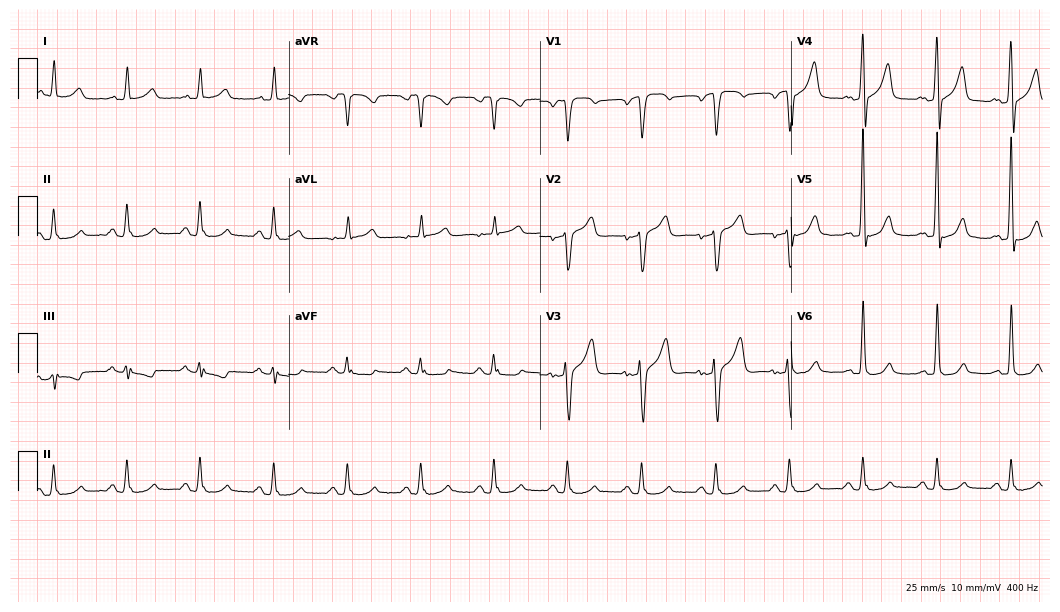
12-lead ECG from a 73-year-old male (10.2-second recording at 400 Hz). No first-degree AV block, right bundle branch block (RBBB), left bundle branch block (LBBB), sinus bradycardia, atrial fibrillation (AF) or sinus tachycardia recorded for this tracing. Other findings, if any, are not listed.